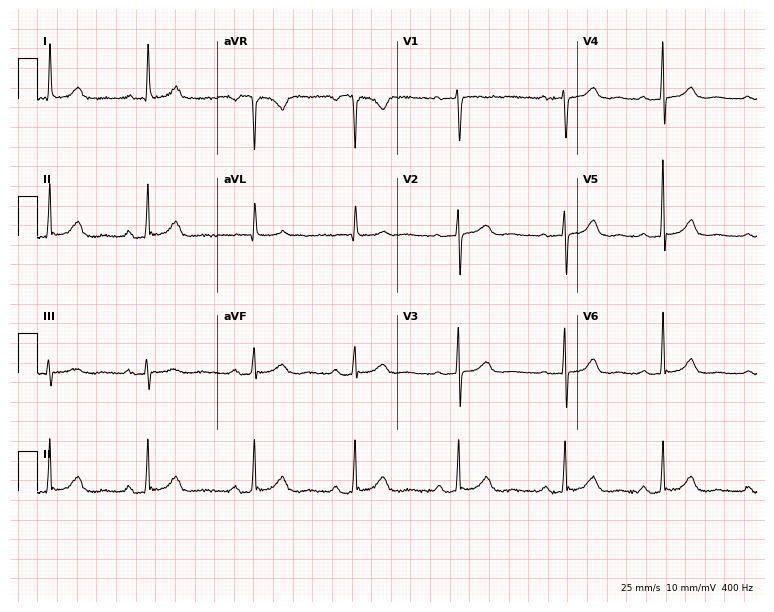
Electrocardiogram (7.3-second recording at 400 Hz), a female patient, 57 years old. Interpretation includes first-degree AV block.